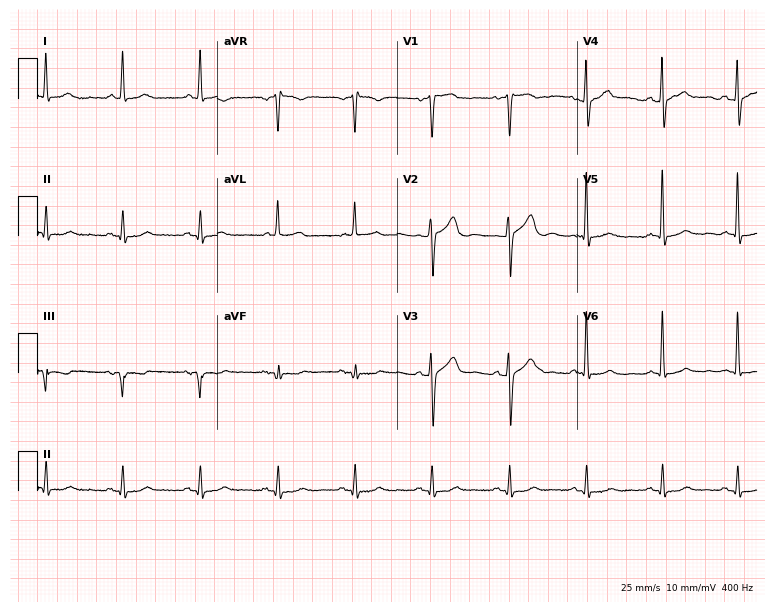
Standard 12-lead ECG recorded from a male patient, 59 years old (7.3-second recording at 400 Hz). None of these six findings is recorded: first-degree AV block, right bundle branch block, left bundle branch block, sinus bradycardia, atrial fibrillation, sinus tachycardia.